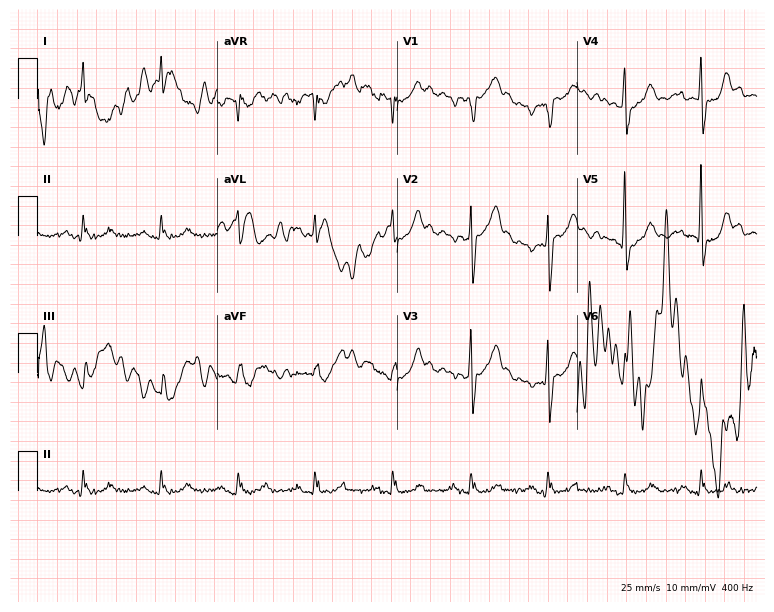
ECG — an 85-year-old male. Screened for six findings — first-degree AV block, right bundle branch block, left bundle branch block, sinus bradycardia, atrial fibrillation, sinus tachycardia — none is recorded.